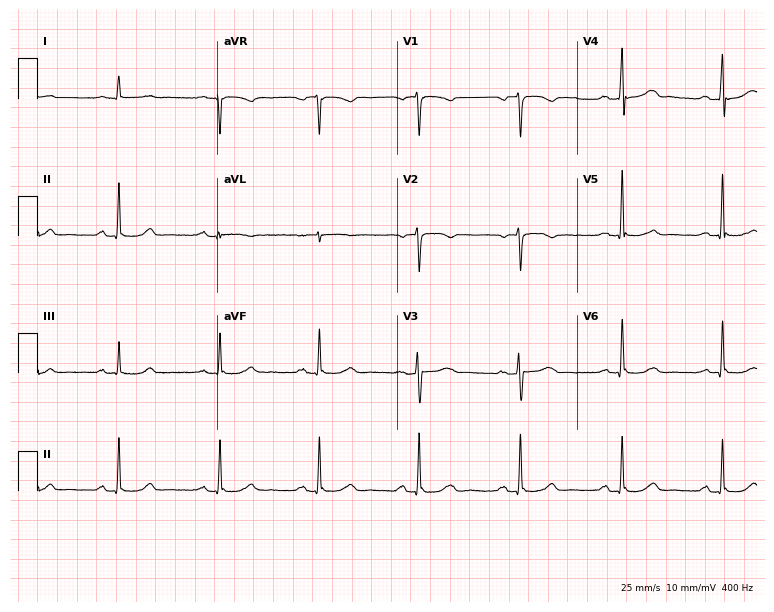
Standard 12-lead ECG recorded from a female, 52 years old (7.3-second recording at 400 Hz). Read as a normal ECG.